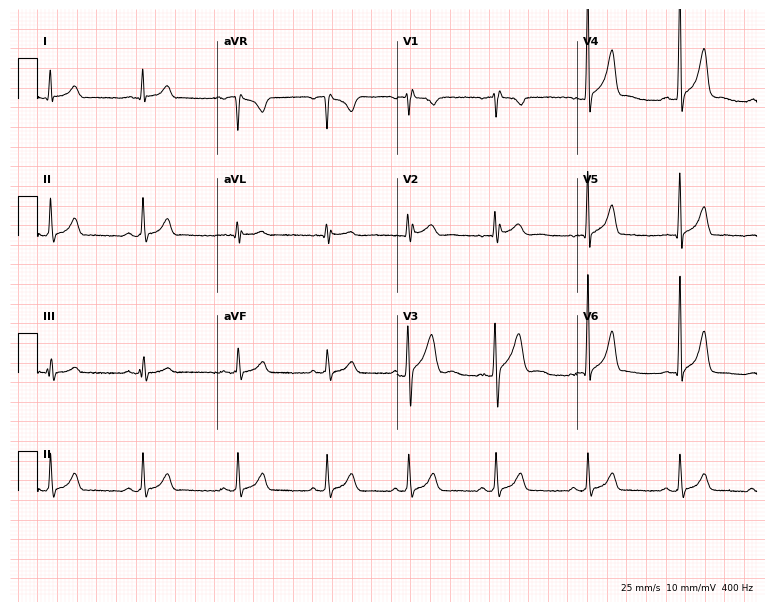
Electrocardiogram, a male patient, 24 years old. Of the six screened findings (first-degree AV block, right bundle branch block (RBBB), left bundle branch block (LBBB), sinus bradycardia, atrial fibrillation (AF), sinus tachycardia), none is recorded. Other findings, if any, are not listed.